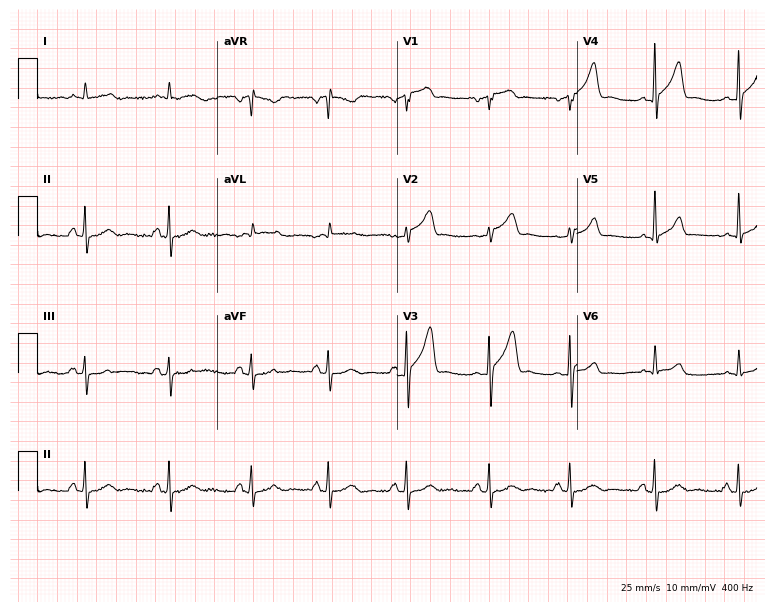
12-lead ECG from a male, 55 years old. No first-degree AV block, right bundle branch block (RBBB), left bundle branch block (LBBB), sinus bradycardia, atrial fibrillation (AF) or sinus tachycardia recorded for this tracing.